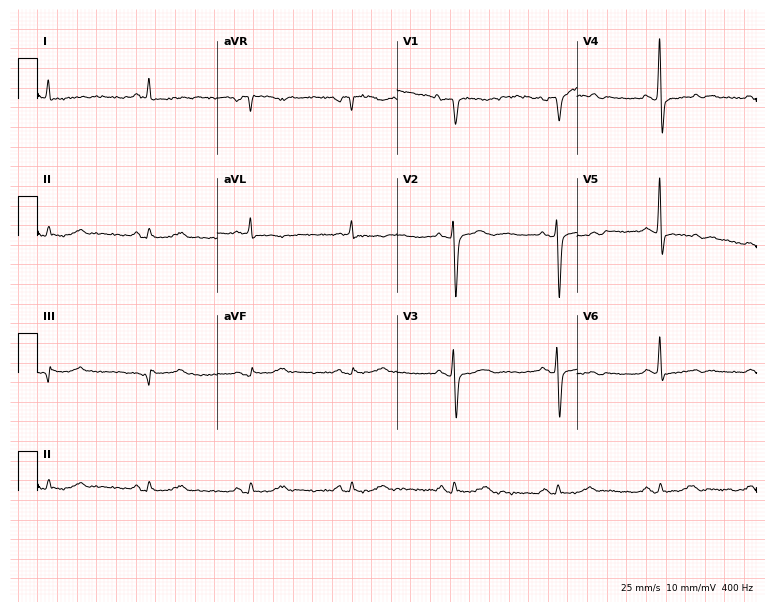
Standard 12-lead ECG recorded from a 70-year-old male (7.3-second recording at 400 Hz). None of these six findings is recorded: first-degree AV block, right bundle branch block, left bundle branch block, sinus bradycardia, atrial fibrillation, sinus tachycardia. Other findings, if any, are not listed.